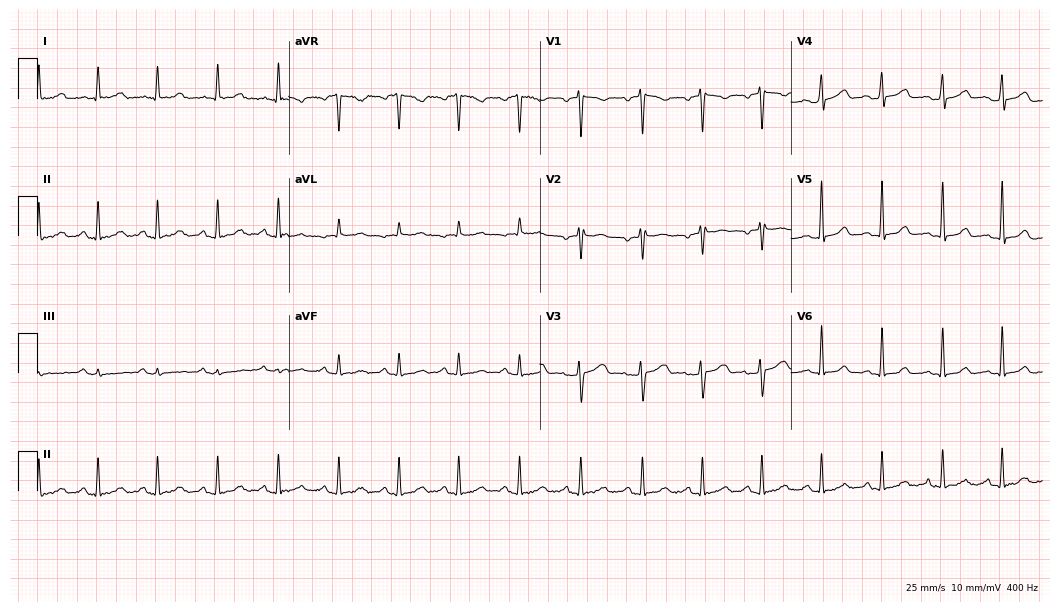
12-lead ECG from a female, 43 years old. Labelled as a normal ECG.